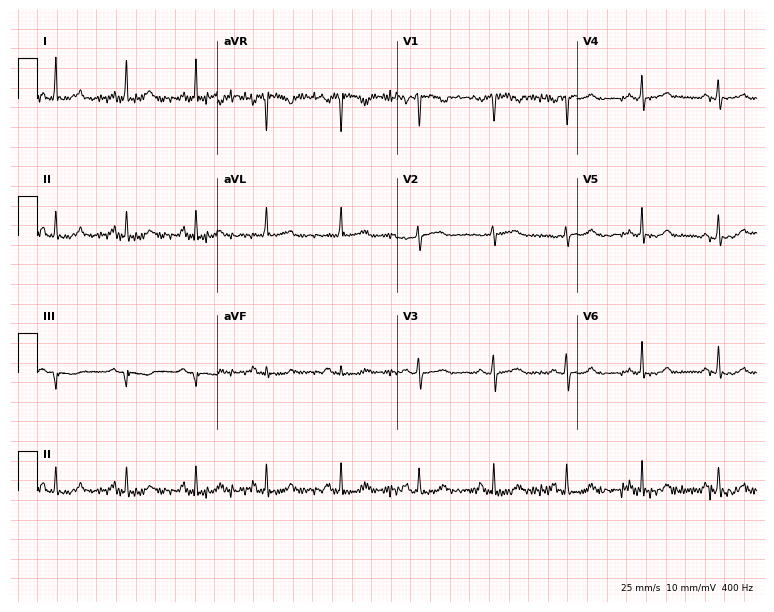
12-lead ECG (7.3-second recording at 400 Hz) from a woman, 43 years old. Screened for six findings — first-degree AV block, right bundle branch block, left bundle branch block, sinus bradycardia, atrial fibrillation, sinus tachycardia — none is recorded. Other findings, if any, are not listed.